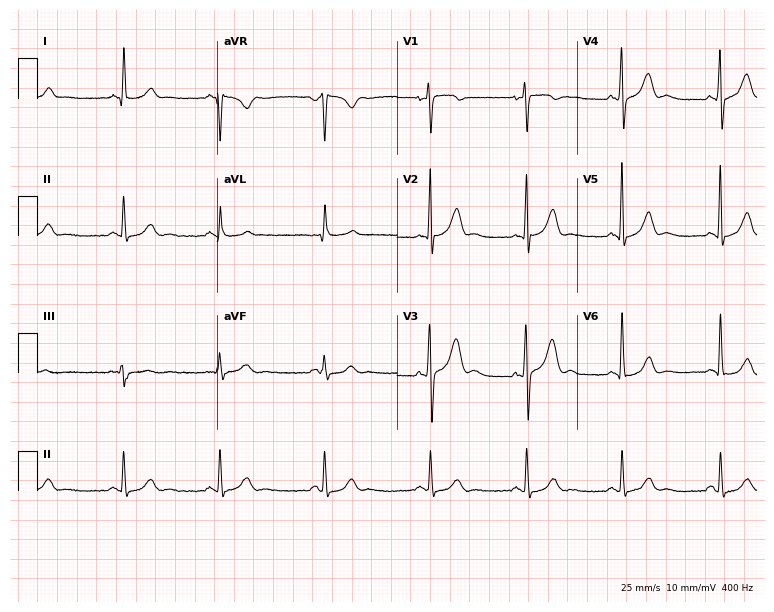
12-lead ECG from a male, 80 years old. No first-degree AV block, right bundle branch block, left bundle branch block, sinus bradycardia, atrial fibrillation or sinus tachycardia recorded for this tracing.